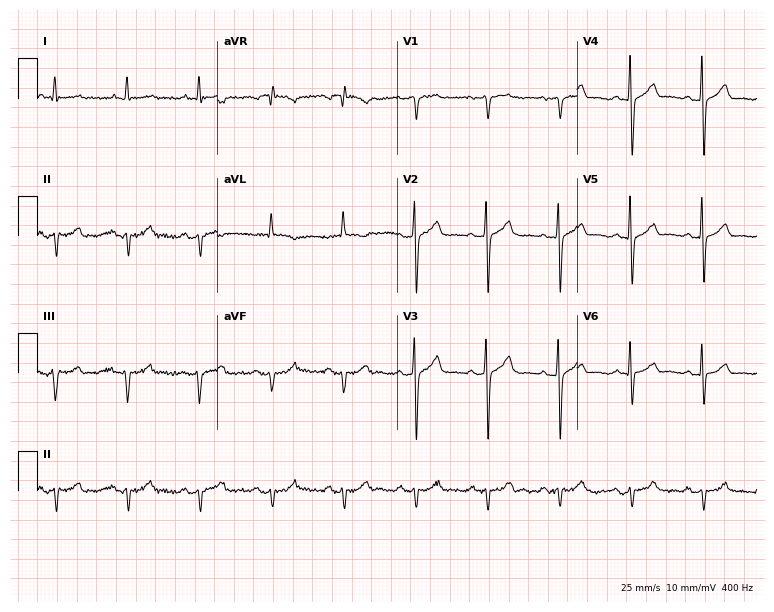
Standard 12-lead ECG recorded from a male patient, 78 years old (7.3-second recording at 400 Hz). None of these six findings is recorded: first-degree AV block, right bundle branch block, left bundle branch block, sinus bradycardia, atrial fibrillation, sinus tachycardia. Only these six findings were labelled.